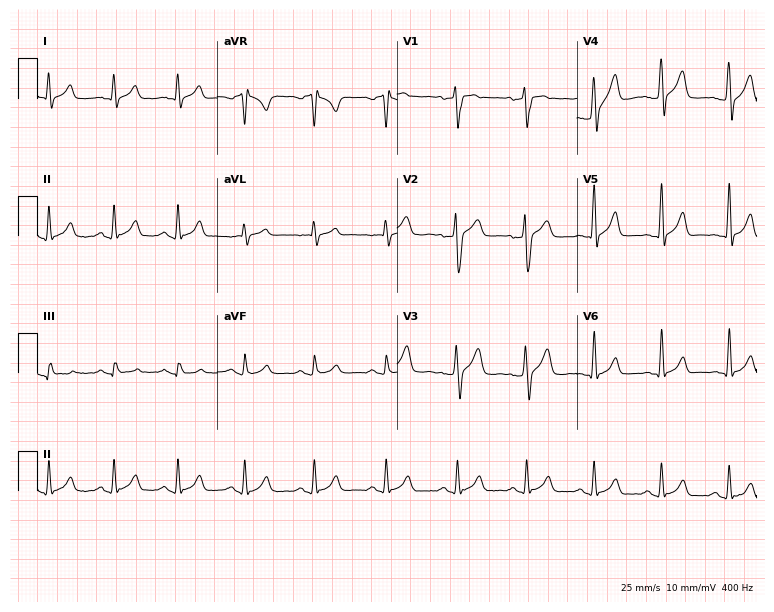
Standard 12-lead ECG recorded from a man, 24 years old (7.3-second recording at 400 Hz). None of these six findings is recorded: first-degree AV block, right bundle branch block (RBBB), left bundle branch block (LBBB), sinus bradycardia, atrial fibrillation (AF), sinus tachycardia. Only these six findings were labelled.